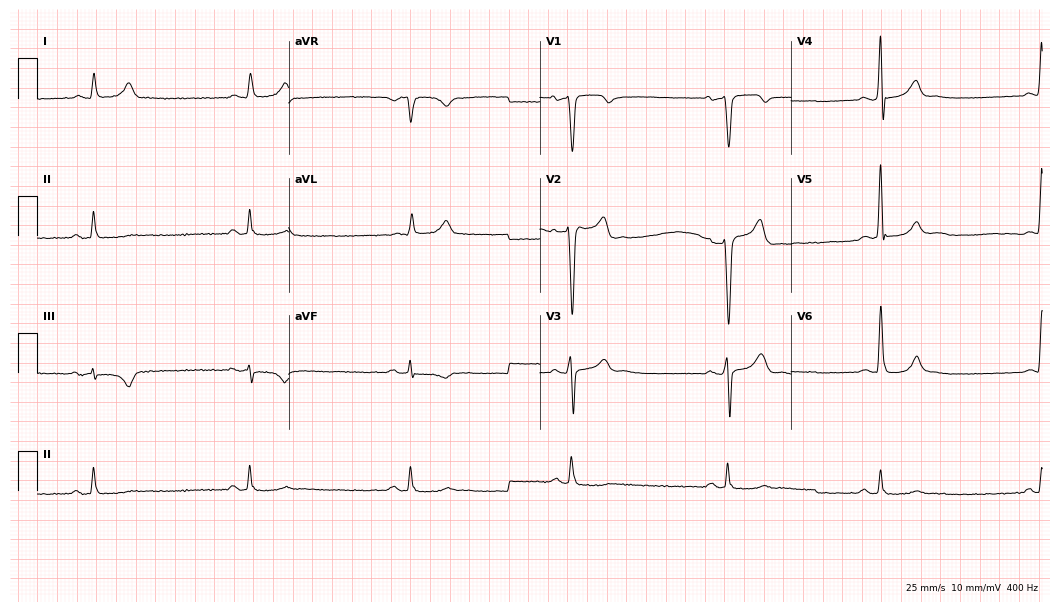
12-lead ECG from a male patient, 55 years old. Findings include sinus bradycardia (a sinus rate of 50 beats per minute or less).